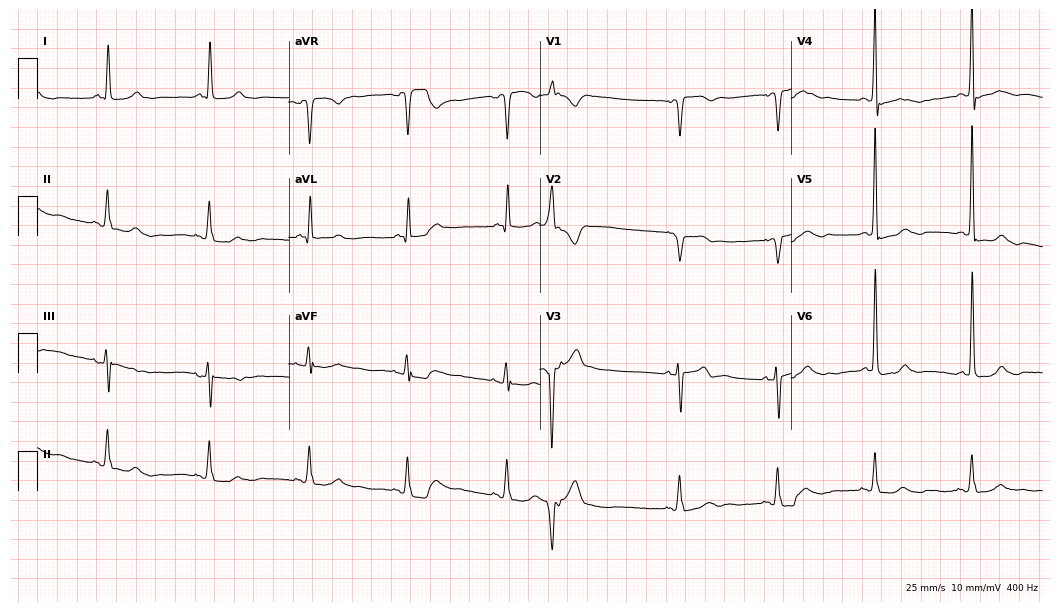
ECG — a female, 78 years old. Screened for six findings — first-degree AV block, right bundle branch block, left bundle branch block, sinus bradycardia, atrial fibrillation, sinus tachycardia — none is recorded. Findings outside these six are not listed.